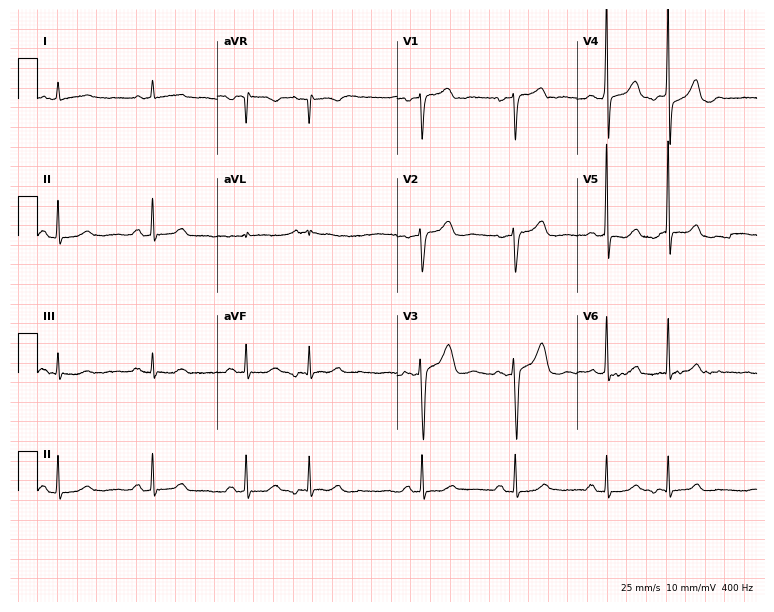
Electrocardiogram (7.3-second recording at 400 Hz), a female patient, 66 years old. Of the six screened findings (first-degree AV block, right bundle branch block (RBBB), left bundle branch block (LBBB), sinus bradycardia, atrial fibrillation (AF), sinus tachycardia), none is recorded. Other findings, if any, are not listed.